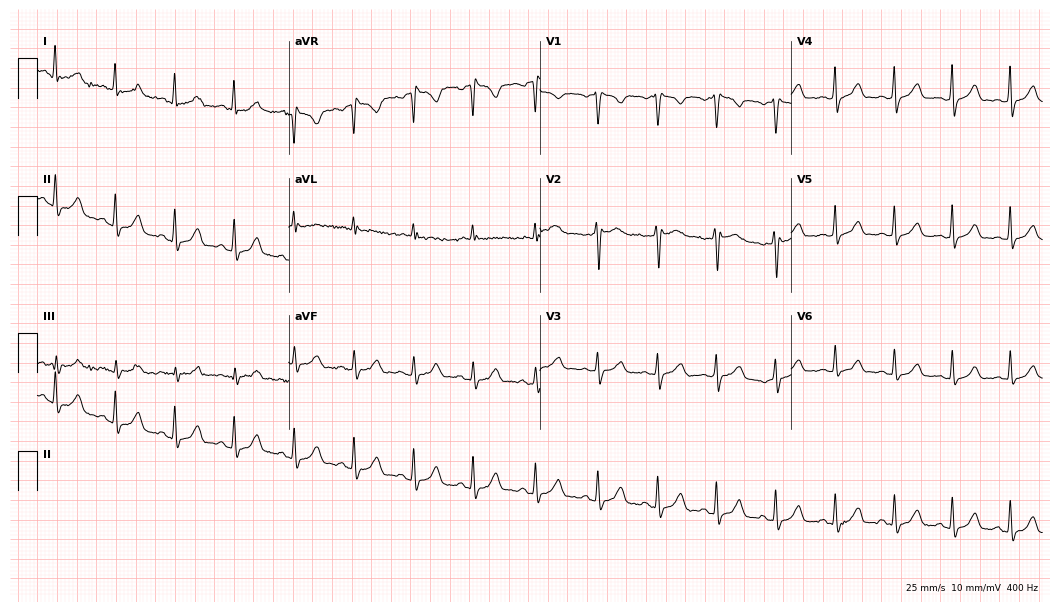
Resting 12-lead electrocardiogram (10.2-second recording at 400 Hz). Patient: a female, 26 years old. Read as a normal ECG.